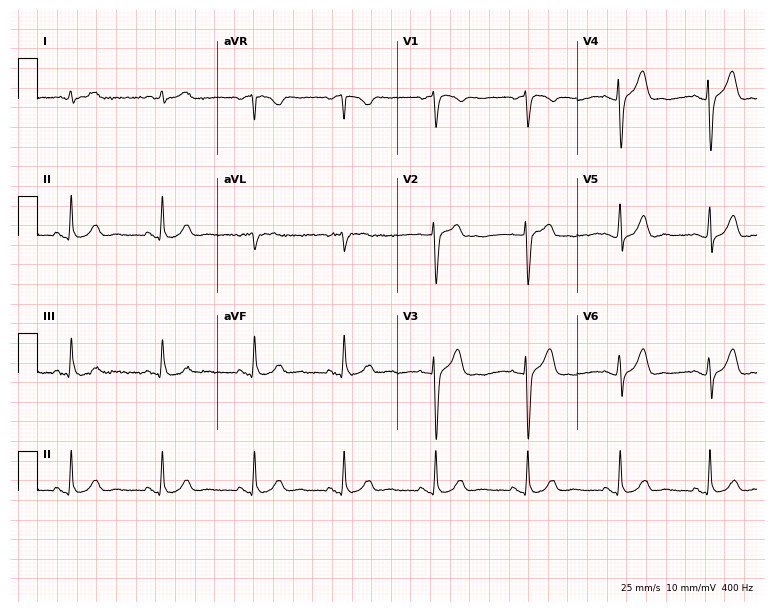
12-lead ECG from a 43-year-old male patient. Recorded interpretation: within normal limits.